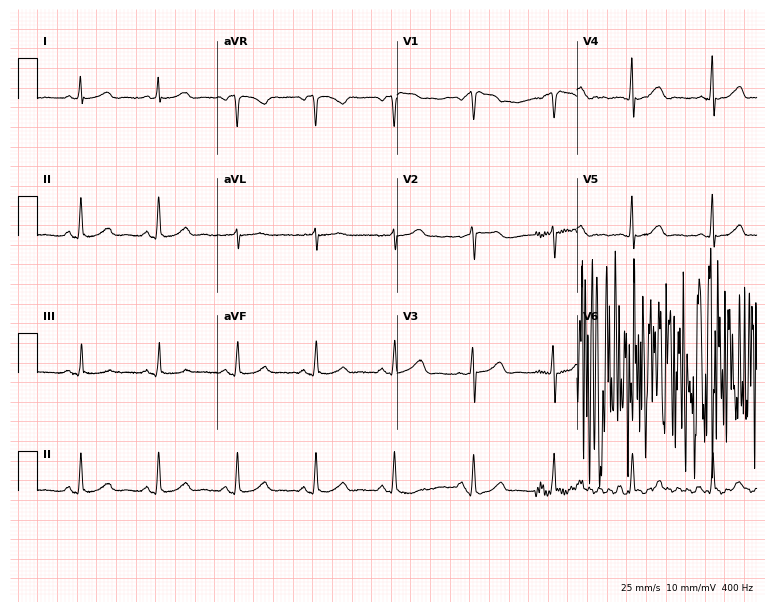
12-lead ECG from a female patient, 59 years old (7.3-second recording at 400 Hz). Recorded interpretation: within normal limits.